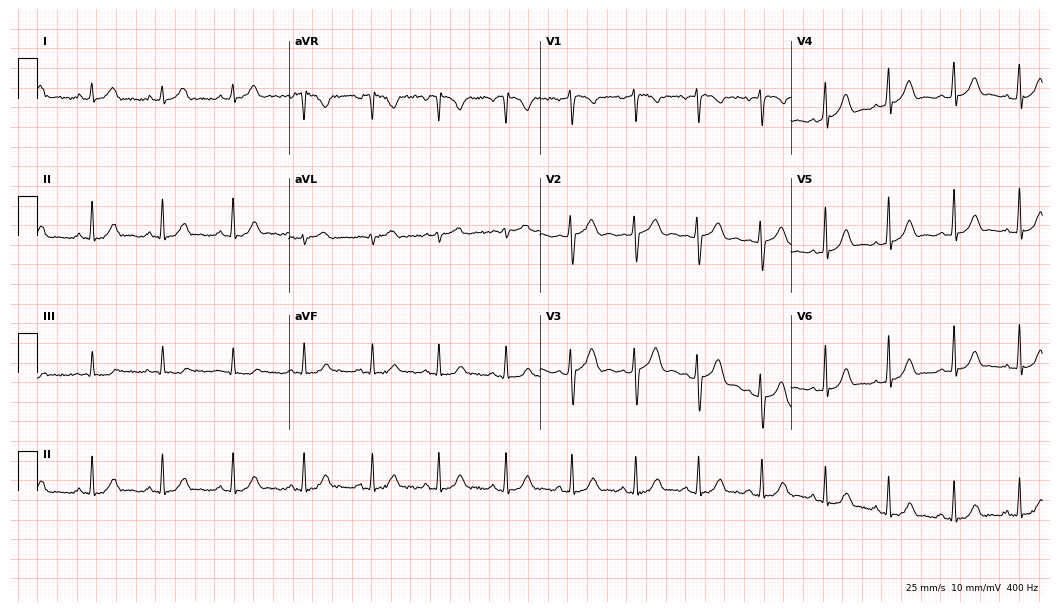
Electrocardiogram (10.2-second recording at 400 Hz), a female patient, 22 years old. Overall reading on record: normal ECG.